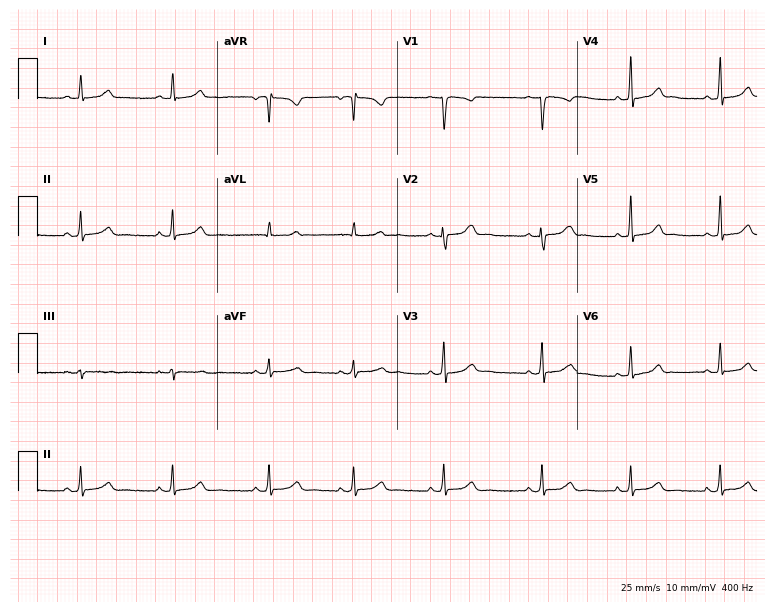
Electrocardiogram, a 21-year-old woman. Overall reading on record: normal ECG.